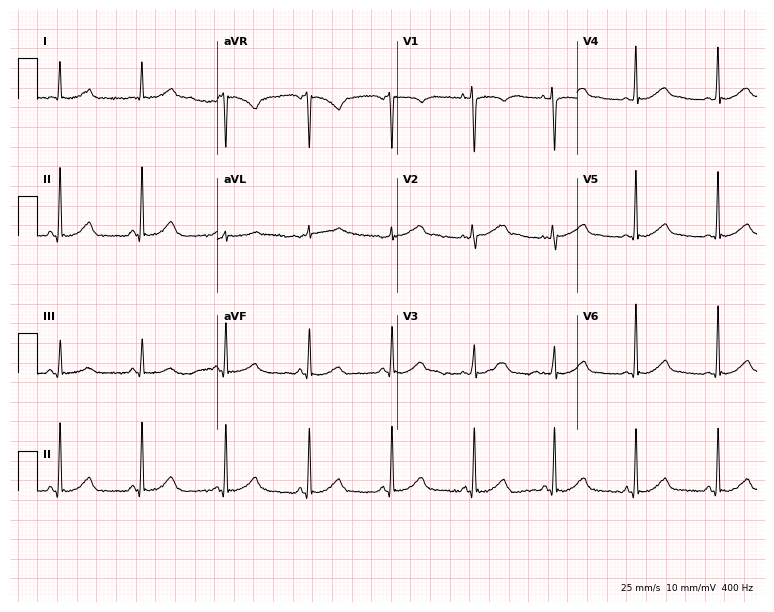
12-lead ECG from a female, 38 years old. Screened for six findings — first-degree AV block, right bundle branch block (RBBB), left bundle branch block (LBBB), sinus bradycardia, atrial fibrillation (AF), sinus tachycardia — none is recorded.